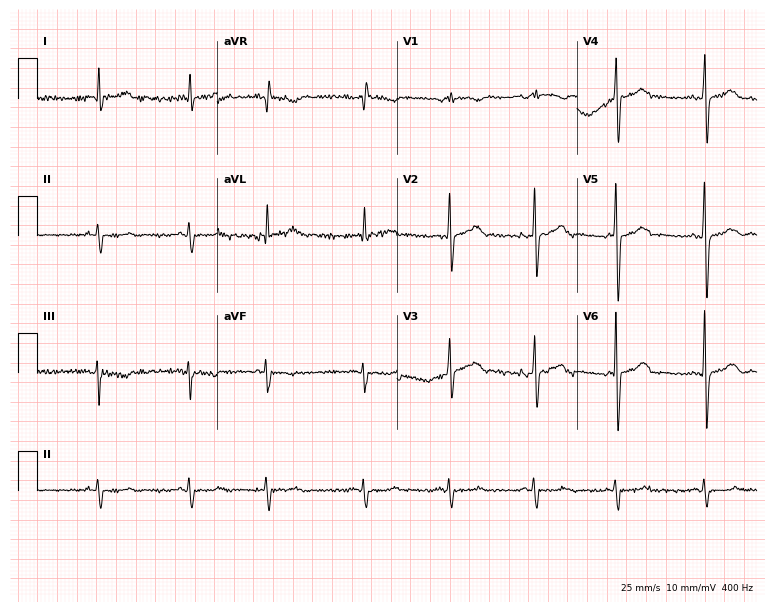
Standard 12-lead ECG recorded from a 71-year-old male patient (7.3-second recording at 400 Hz). None of these six findings is recorded: first-degree AV block, right bundle branch block (RBBB), left bundle branch block (LBBB), sinus bradycardia, atrial fibrillation (AF), sinus tachycardia.